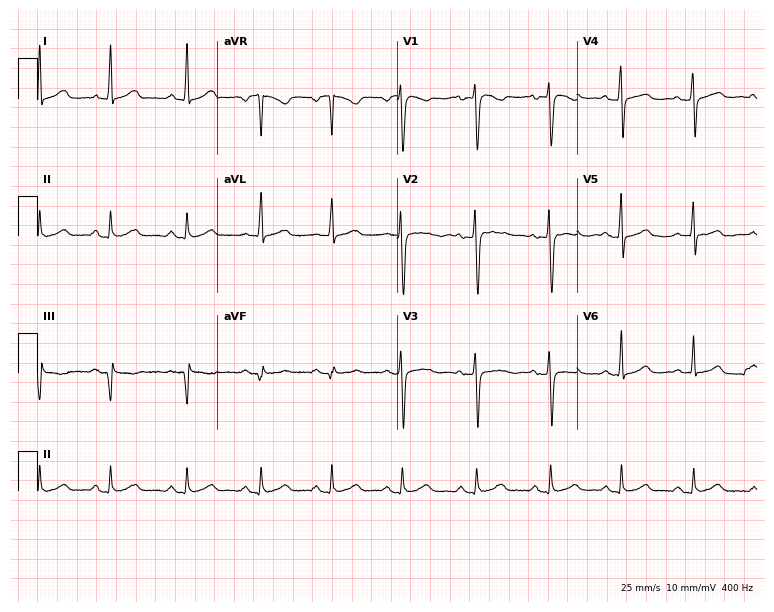
Standard 12-lead ECG recorded from a 23-year-old female patient. Read as a normal ECG.